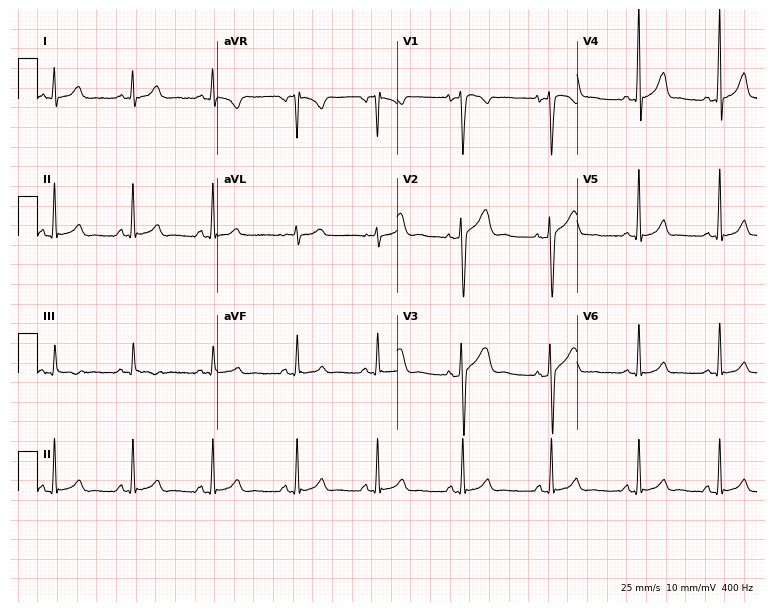
Resting 12-lead electrocardiogram. Patient: a 20-year-old male. None of these six findings is recorded: first-degree AV block, right bundle branch block, left bundle branch block, sinus bradycardia, atrial fibrillation, sinus tachycardia. Only these six findings were labelled.